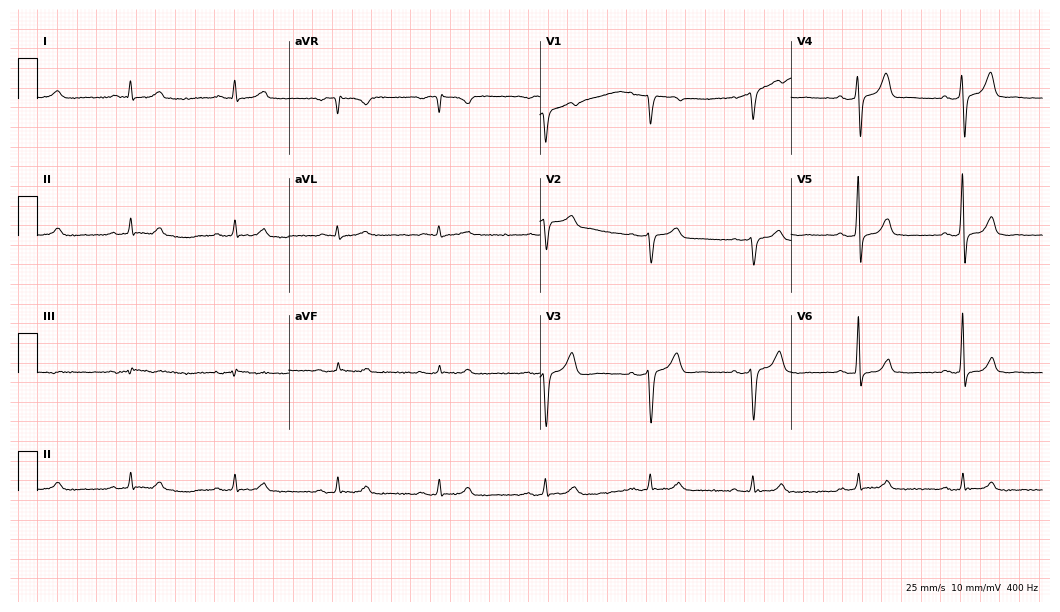
12-lead ECG (10.2-second recording at 400 Hz) from a 53-year-old man. Labelled as a normal ECG.